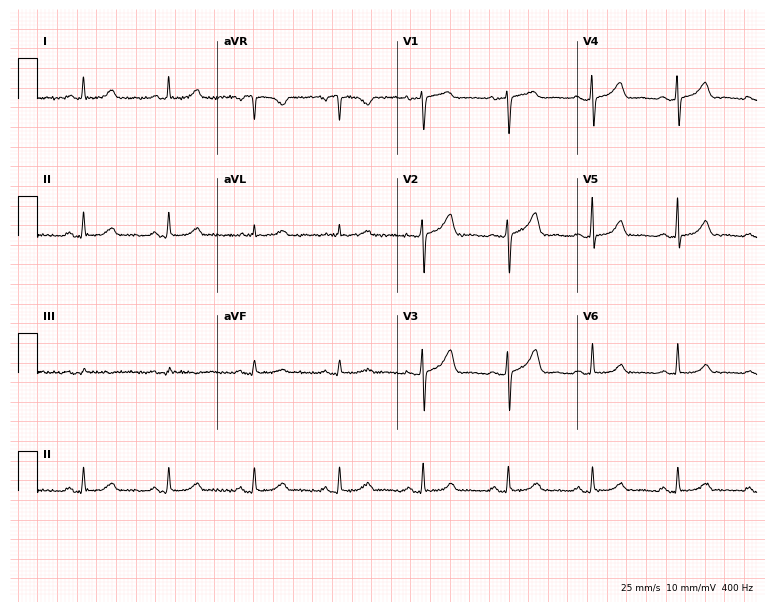
12-lead ECG from a 74-year-old woman. Screened for six findings — first-degree AV block, right bundle branch block, left bundle branch block, sinus bradycardia, atrial fibrillation, sinus tachycardia — none is recorded.